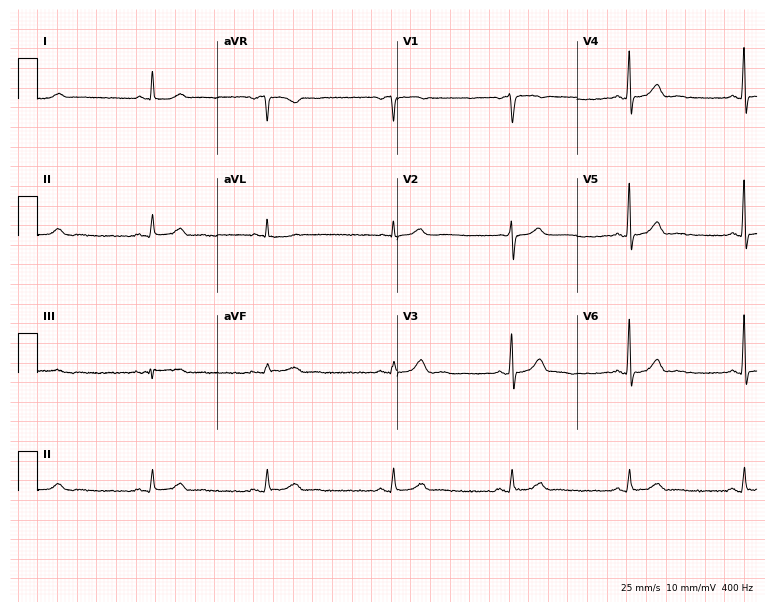
12-lead ECG (7.3-second recording at 400 Hz) from a male, 60 years old. Screened for six findings — first-degree AV block, right bundle branch block, left bundle branch block, sinus bradycardia, atrial fibrillation, sinus tachycardia — none is recorded. Only these six findings were labelled.